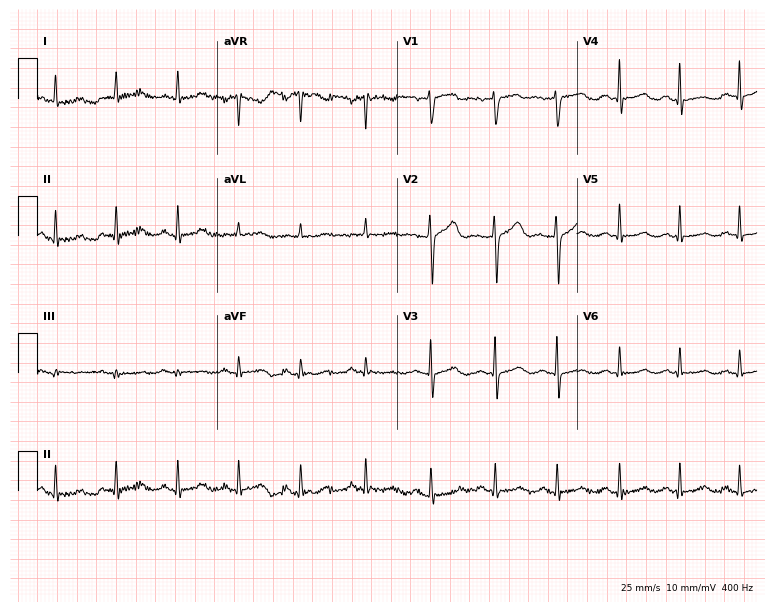
Standard 12-lead ECG recorded from a woman, 56 years old (7.3-second recording at 400 Hz). None of these six findings is recorded: first-degree AV block, right bundle branch block (RBBB), left bundle branch block (LBBB), sinus bradycardia, atrial fibrillation (AF), sinus tachycardia. Findings outside these six are not listed.